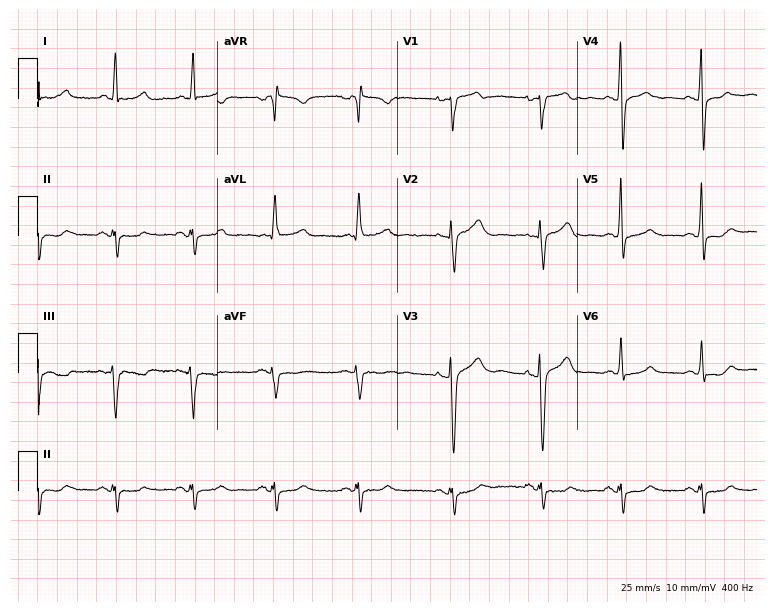
ECG — a woman, 74 years old. Screened for six findings — first-degree AV block, right bundle branch block, left bundle branch block, sinus bradycardia, atrial fibrillation, sinus tachycardia — none is recorded.